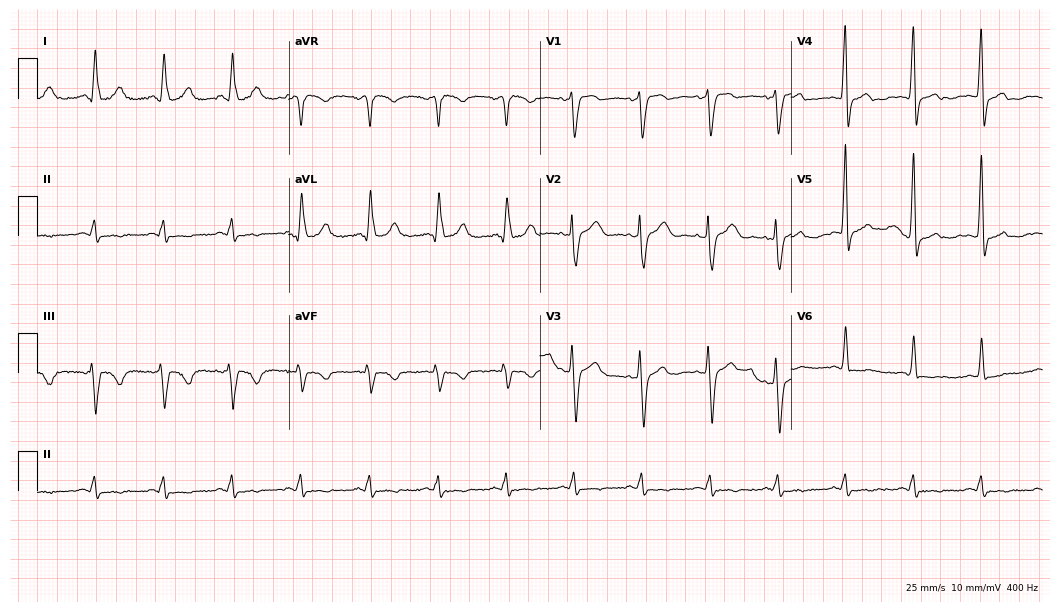
Electrocardiogram, an 80-year-old female. Of the six screened findings (first-degree AV block, right bundle branch block, left bundle branch block, sinus bradycardia, atrial fibrillation, sinus tachycardia), none is recorded.